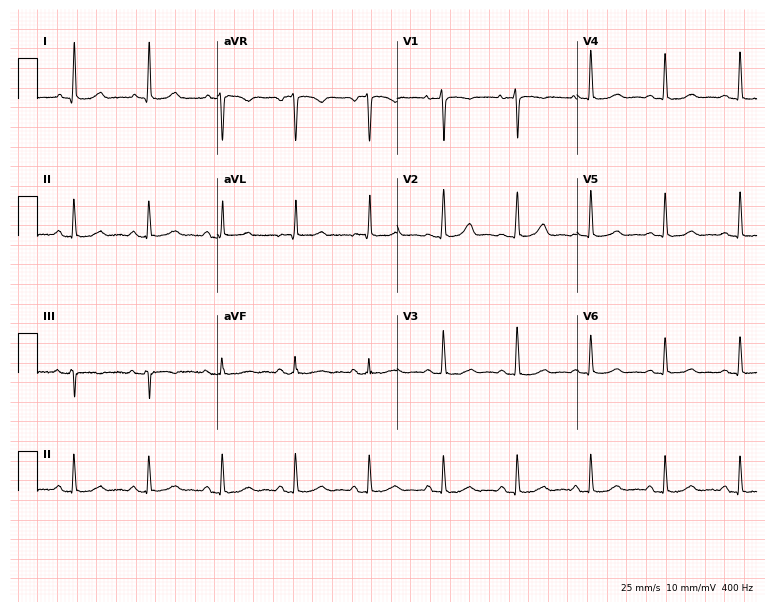
12-lead ECG from a woman, 57 years old (7.3-second recording at 400 Hz). Recorded interpretation: within normal limits.